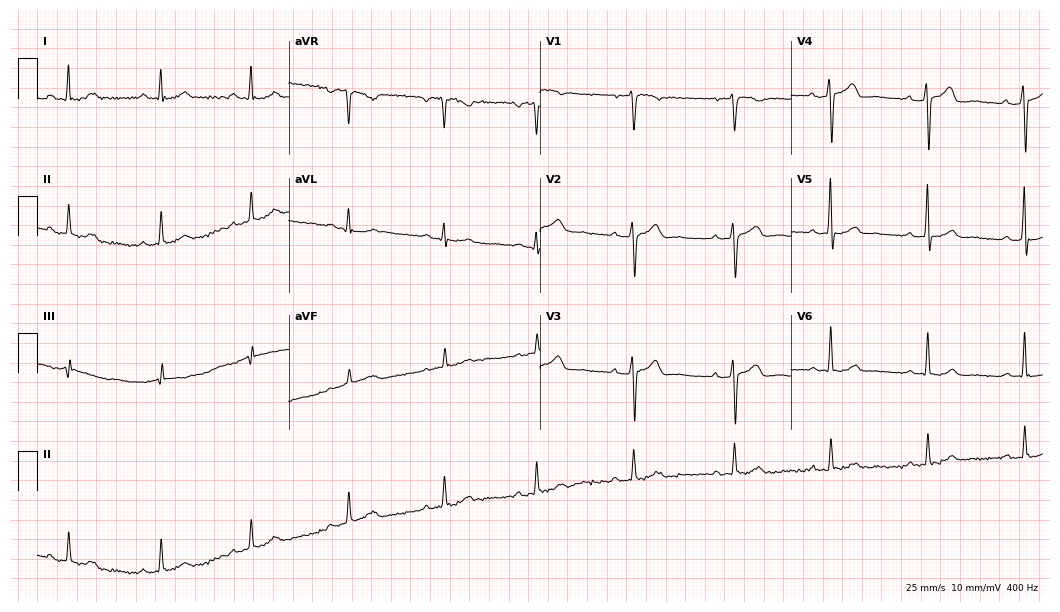
12-lead ECG (10.2-second recording at 400 Hz) from a 34-year-old man. Labelled as a normal ECG.